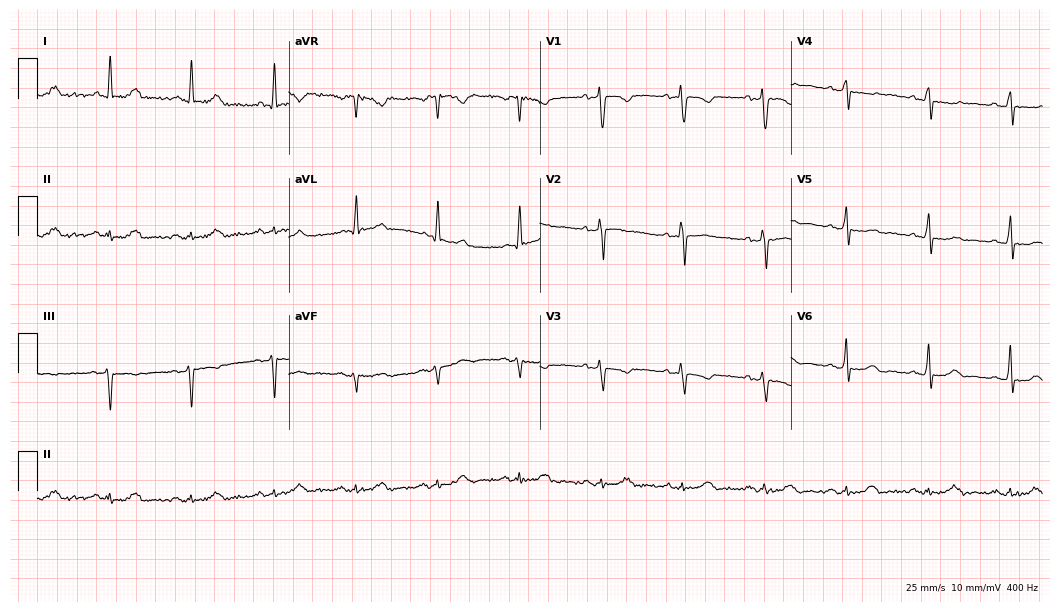
12-lead ECG from a 76-year-old woman. No first-degree AV block, right bundle branch block, left bundle branch block, sinus bradycardia, atrial fibrillation or sinus tachycardia recorded for this tracing.